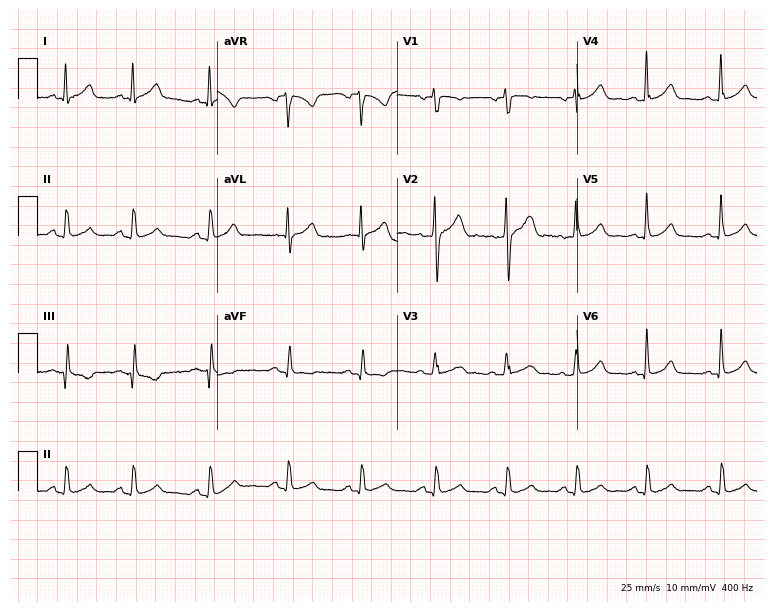
Electrocardiogram (7.3-second recording at 400 Hz), a 25-year-old male patient. Overall reading on record: normal ECG.